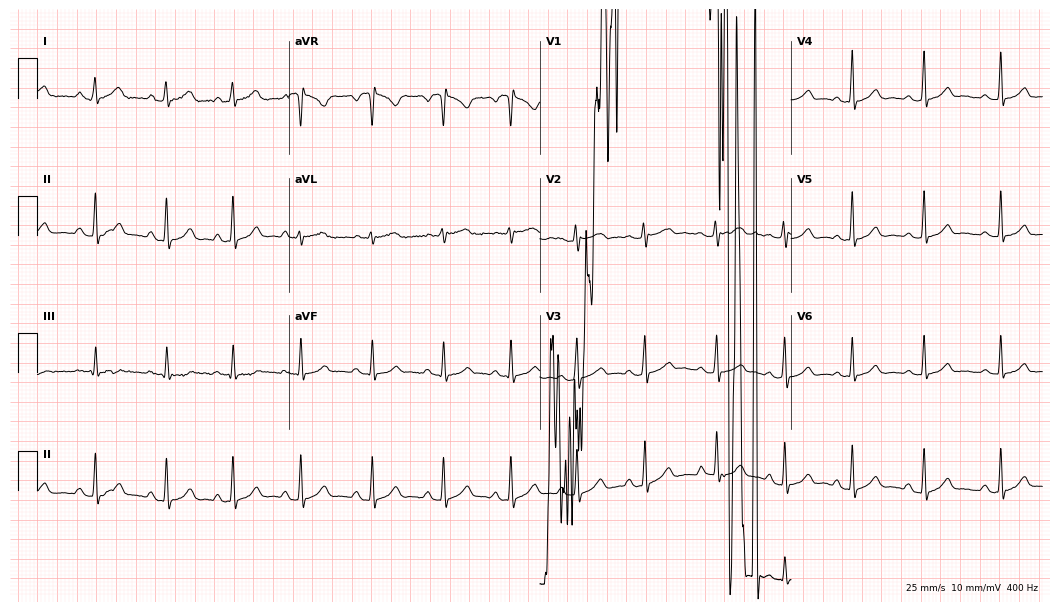
Electrocardiogram, a female, 25 years old. Of the six screened findings (first-degree AV block, right bundle branch block (RBBB), left bundle branch block (LBBB), sinus bradycardia, atrial fibrillation (AF), sinus tachycardia), none is recorded.